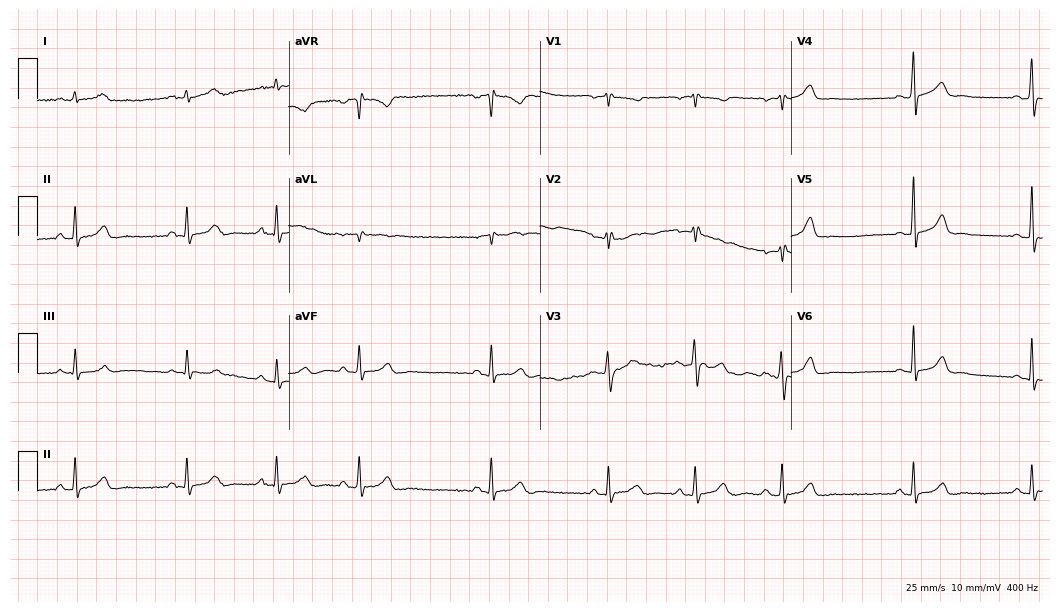
12-lead ECG from a female patient, 34 years old. Recorded interpretation: within normal limits.